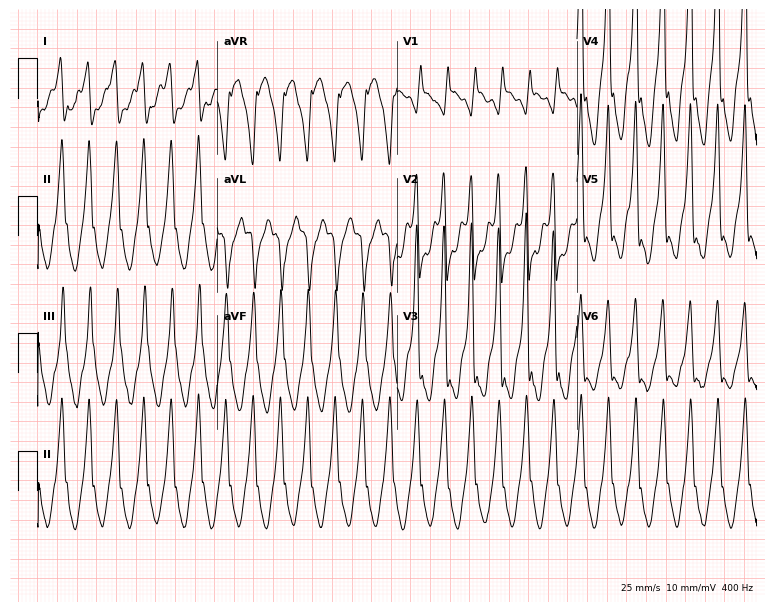
12-lead ECG (7.3-second recording at 400 Hz) from a man, 49 years old. Findings include sinus tachycardia (a sinus rate of 100 beats per minute or more).